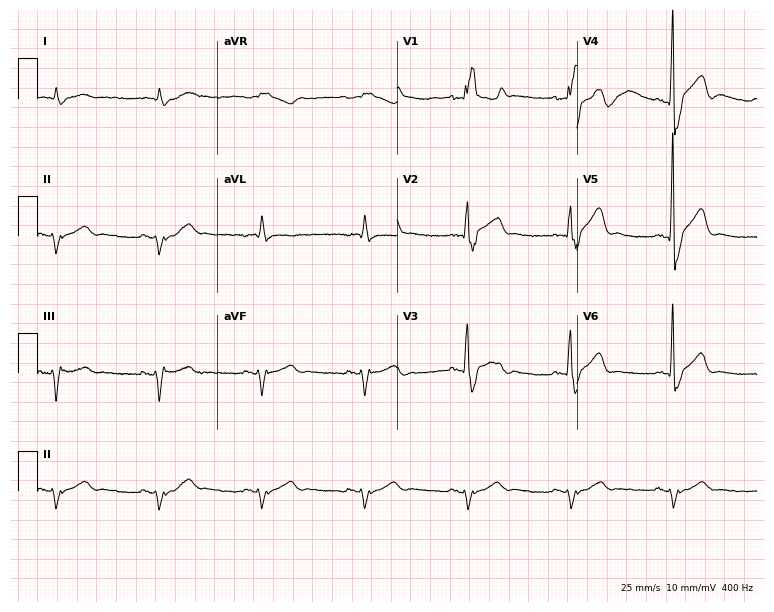
ECG (7.3-second recording at 400 Hz) — a man, 74 years old. Findings include right bundle branch block.